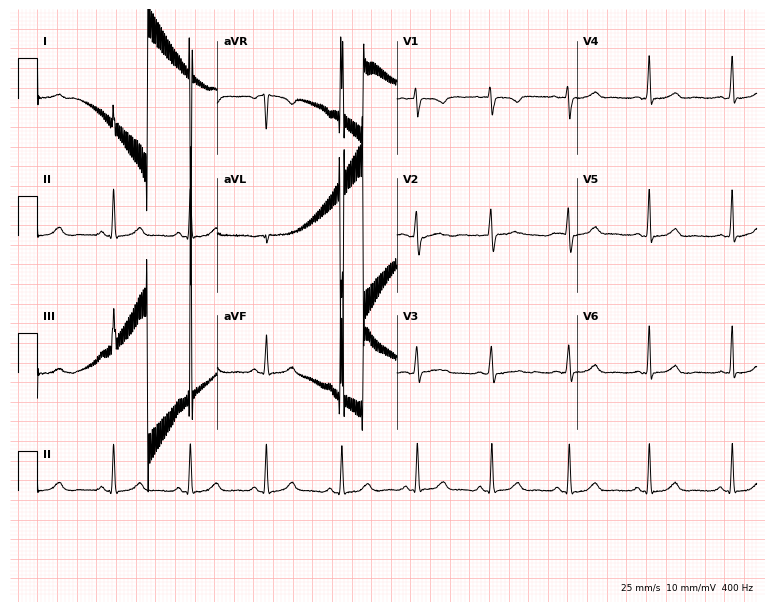
Resting 12-lead electrocardiogram (7.3-second recording at 400 Hz). Patient: a female, 41 years old. None of these six findings is recorded: first-degree AV block, right bundle branch block, left bundle branch block, sinus bradycardia, atrial fibrillation, sinus tachycardia. Findings outside these six are not listed.